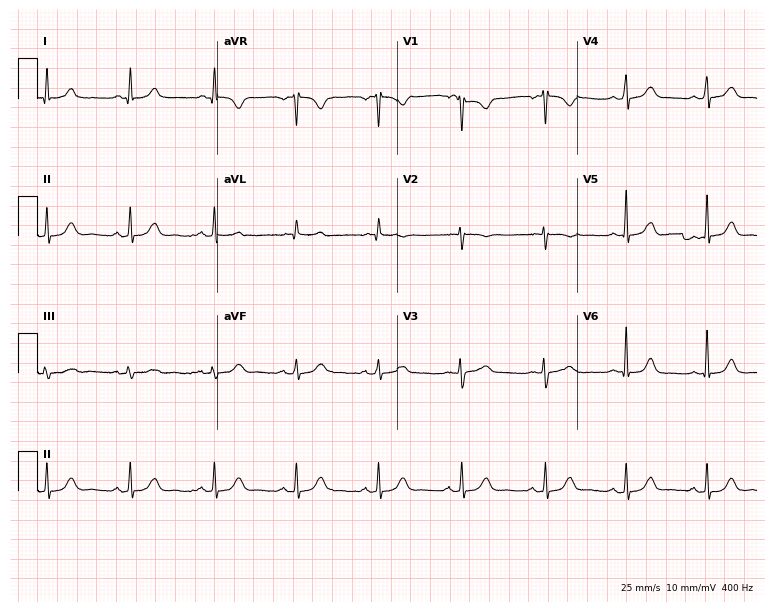
Standard 12-lead ECG recorded from a female patient, 39 years old. Read as a normal ECG.